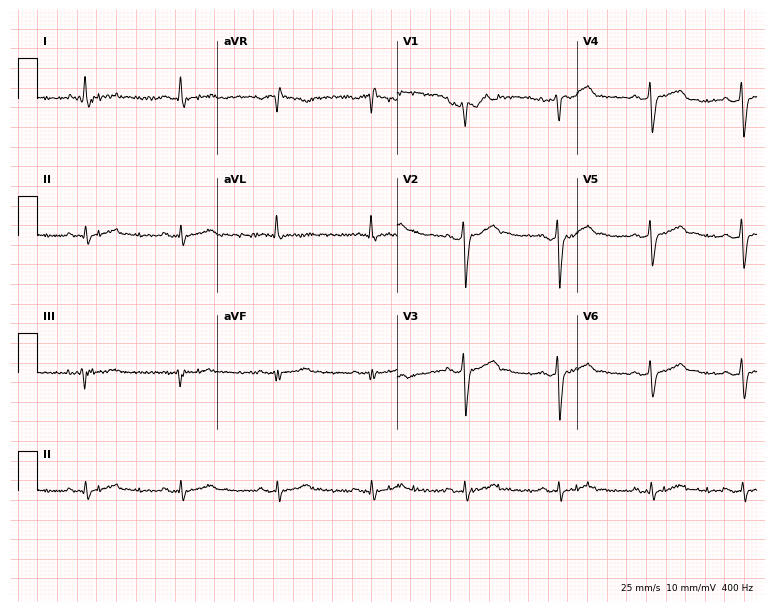
12-lead ECG from a 45-year-old male. Screened for six findings — first-degree AV block, right bundle branch block, left bundle branch block, sinus bradycardia, atrial fibrillation, sinus tachycardia — none is recorded. Only these six findings were labelled.